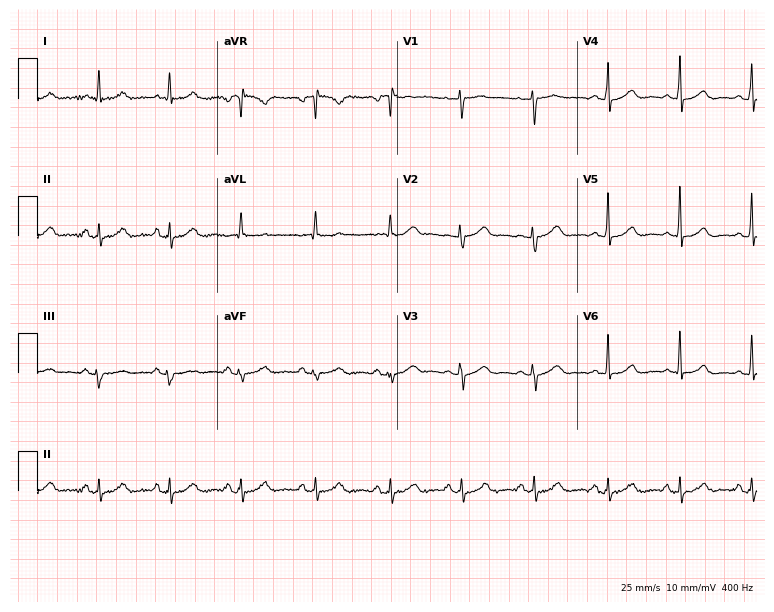
12-lead ECG from a 36-year-old female (7.3-second recording at 400 Hz). Recorded interpretation: within normal limits.